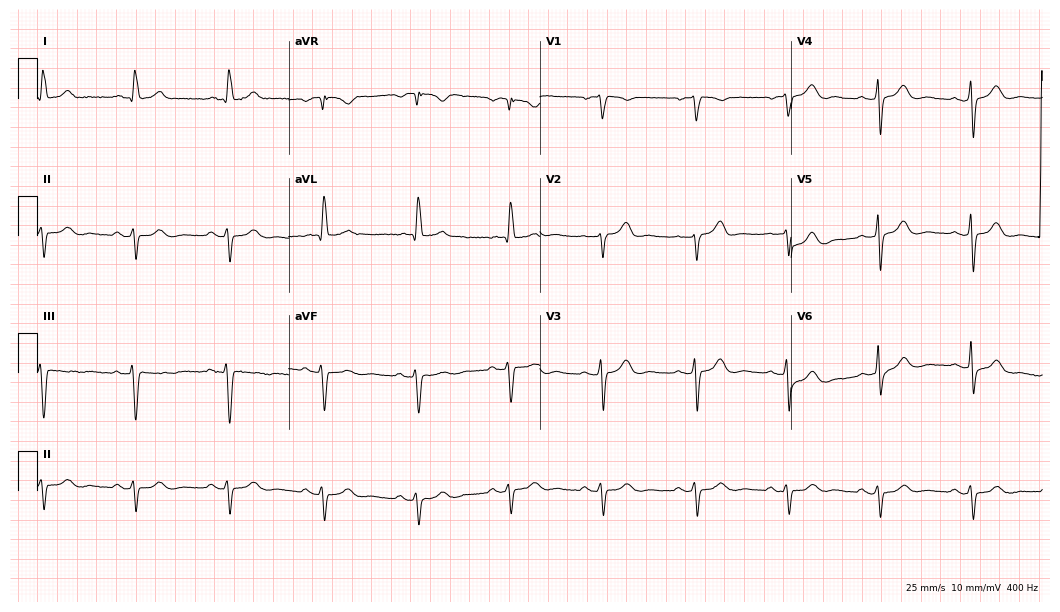
ECG — a 64-year-old female. Screened for six findings — first-degree AV block, right bundle branch block, left bundle branch block, sinus bradycardia, atrial fibrillation, sinus tachycardia — none is recorded.